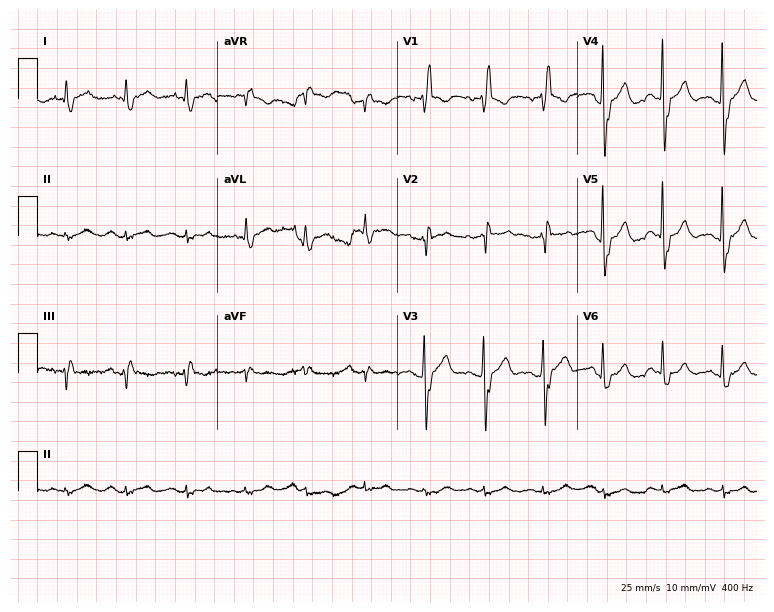
Standard 12-lead ECG recorded from a male patient, 77 years old. The tracing shows right bundle branch block.